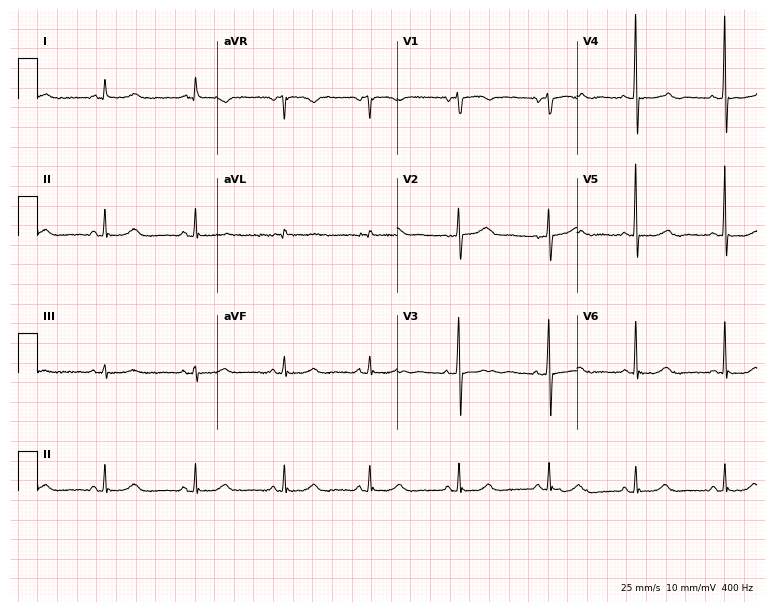
Electrocardiogram, a 71-year-old woman. Of the six screened findings (first-degree AV block, right bundle branch block, left bundle branch block, sinus bradycardia, atrial fibrillation, sinus tachycardia), none is recorded.